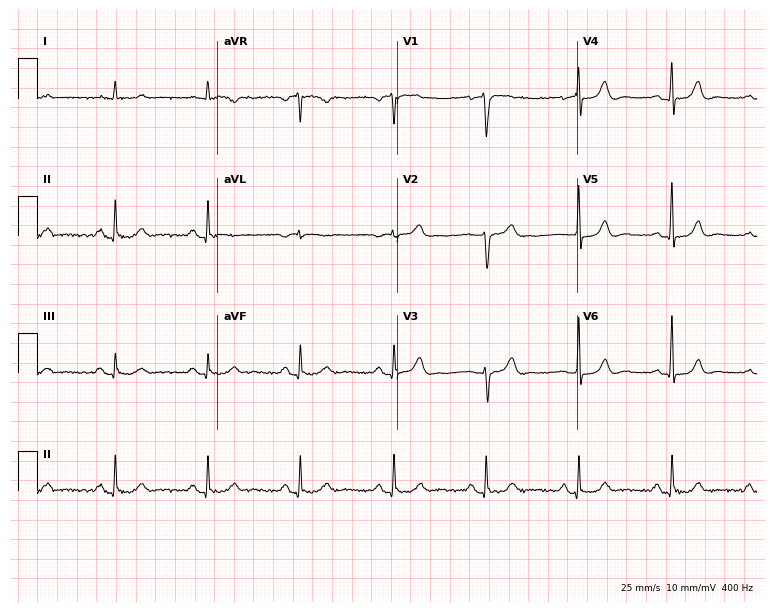
12-lead ECG from a man, 75 years old. Recorded interpretation: within normal limits.